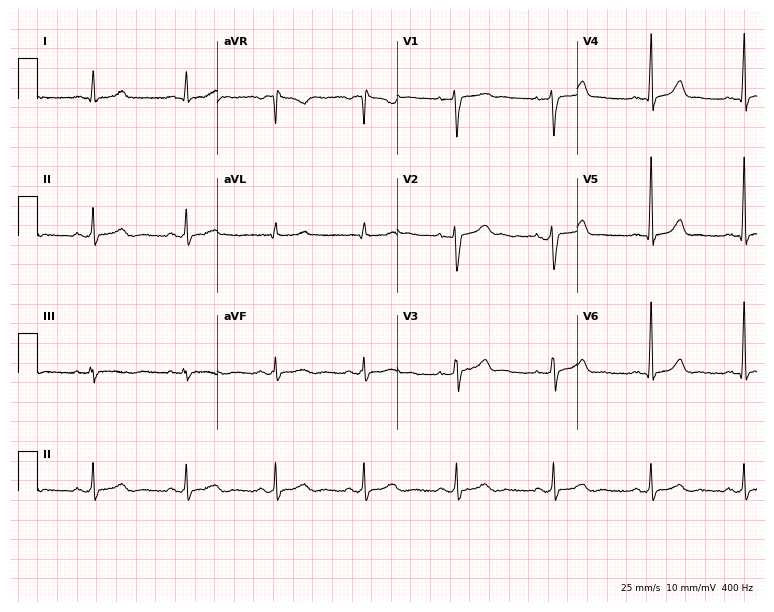
Electrocardiogram, a 32-year-old female patient. Overall reading on record: normal ECG.